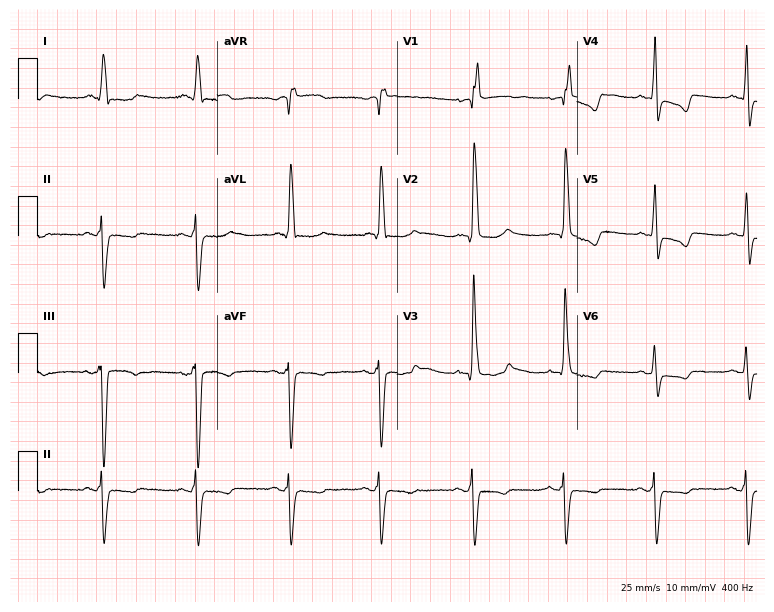
ECG — a female, 68 years old. Findings include right bundle branch block.